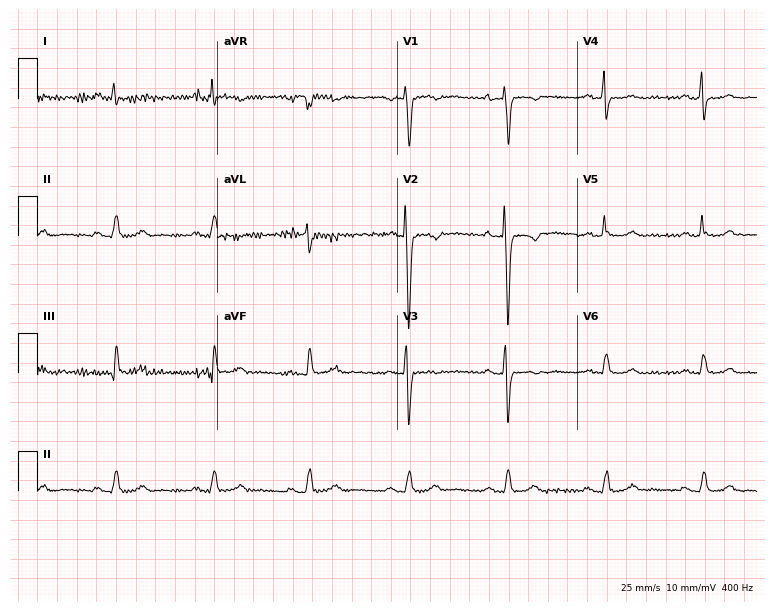
ECG — a 79-year-old female patient. Screened for six findings — first-degree AV block, right bundle branch block, left bundle branch block, sinus bradycardia, atrial fibrillation, sinus tachycardia — none is recorded.